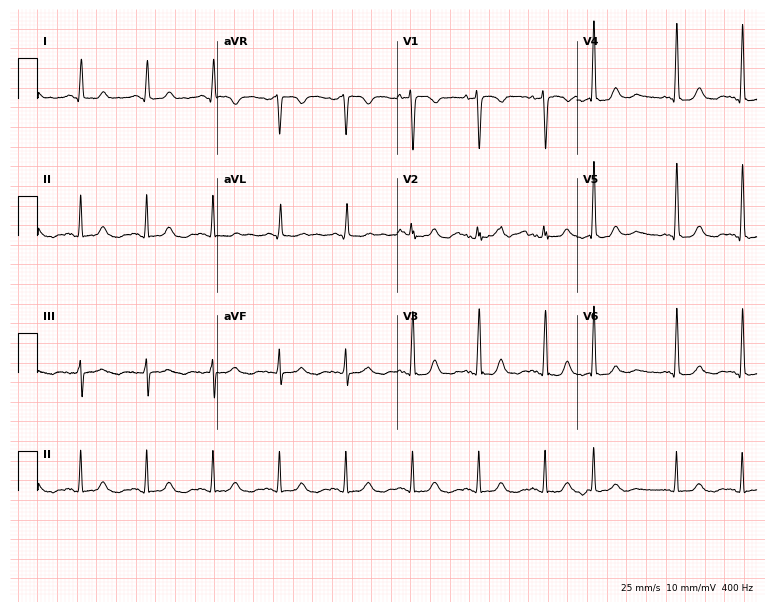
ECG (7.3-second recording at 400 Hz) — a woman, 59 years old. Labelled as a normal ECG.